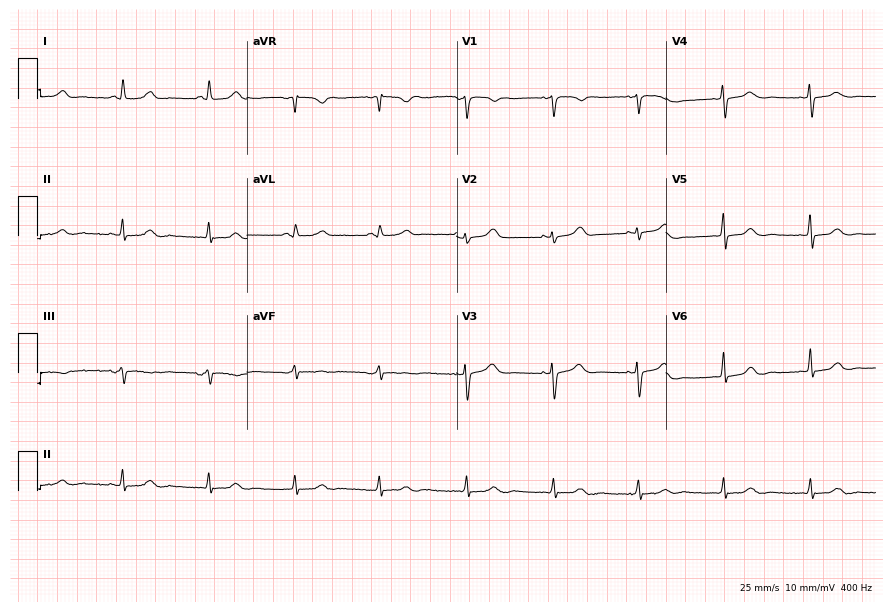
12-lead ECG from a 46-year-old female patient (8.5-second recording at 400 Hz). Recorded interpretation: within normal limits.